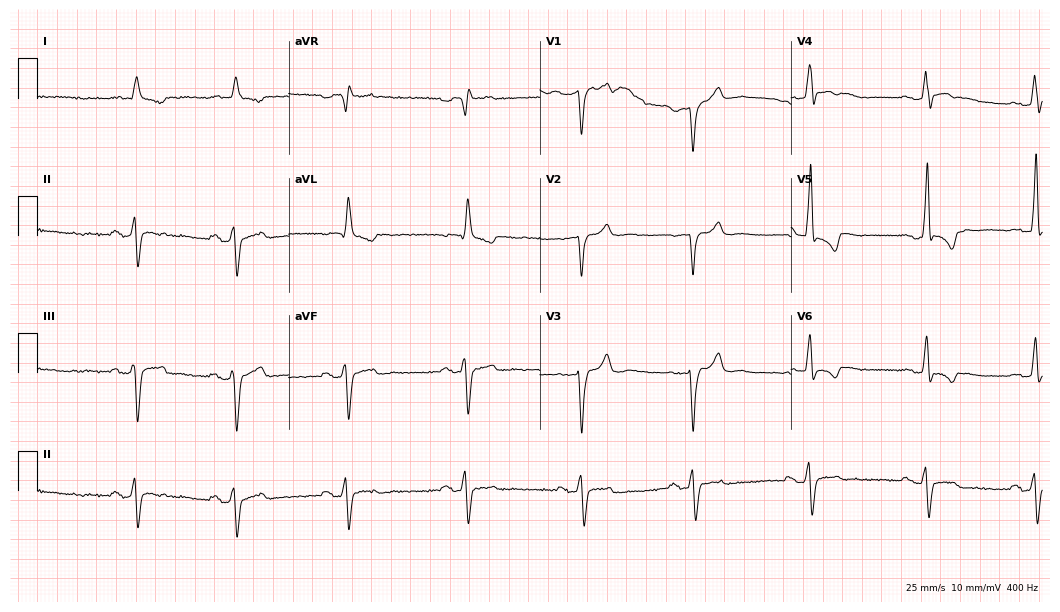
Resting 12-lead electrocardiogram (10.2-second recording at 400 Hz). Patient: a 71-year-old male. The tracing shows left bundle branch block.